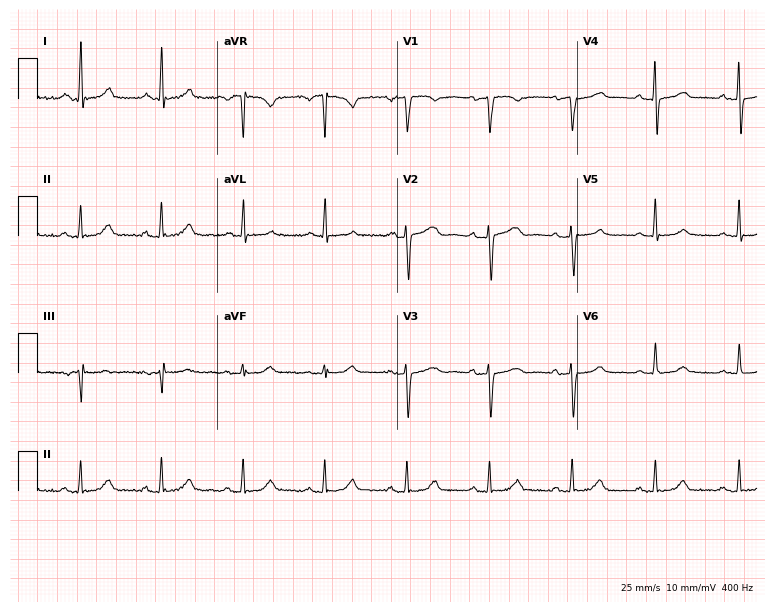
ECG (7.3-second recording at 400 Hz) — a 64-year-old female. Labelled as a normal ECG.